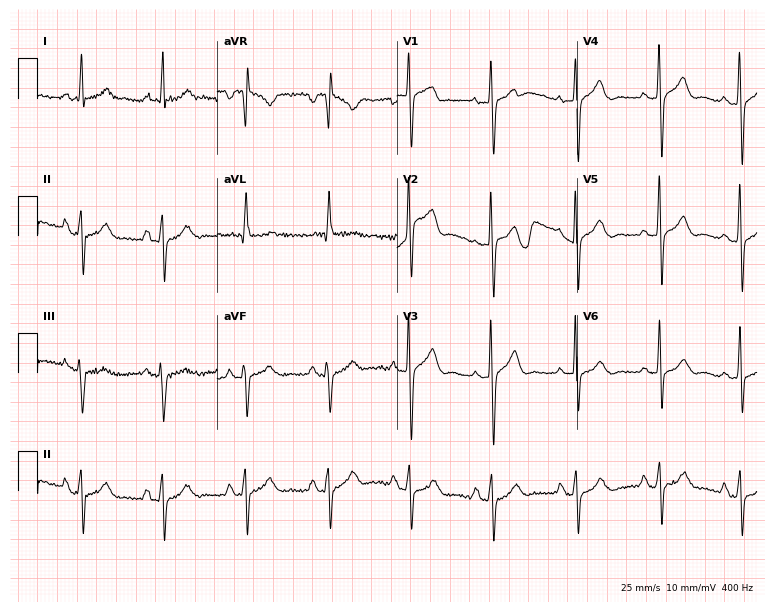
Electrocardiogram (7.3-second recording at 400 Hz), a female patient, 79 years old. Of the six screened findings (first-degree AV block, right bundle branch block, left bundle branch block, sinus bradycardia, atrial fibrillation, sinus tachycardia), none is recorded. Findings outside these six are not listed.